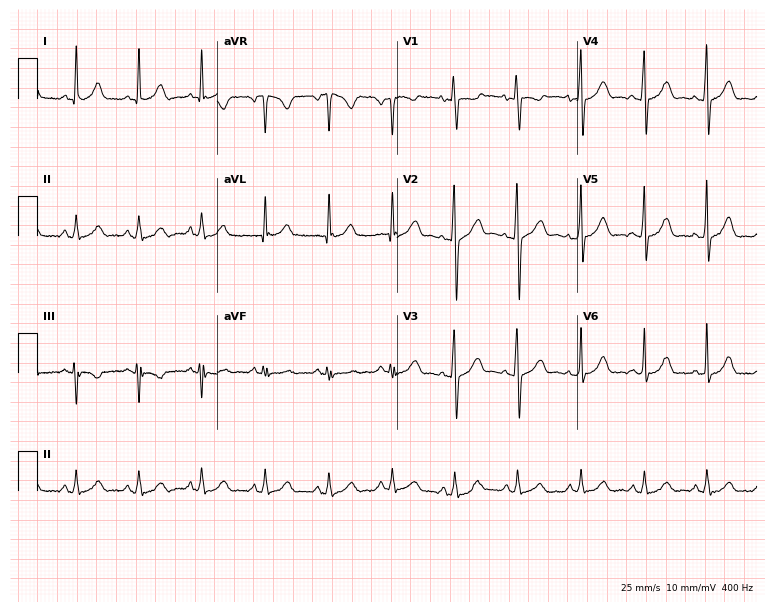
ECG (7.3-second recording at 400 Hz) — a female, 35 years old. Screened for six findings — first-degree AV block, right bundle branch block, left bundle branch block, sinus bradycardia, atrial fibrillation, sinus tachycardia — none is recorded.